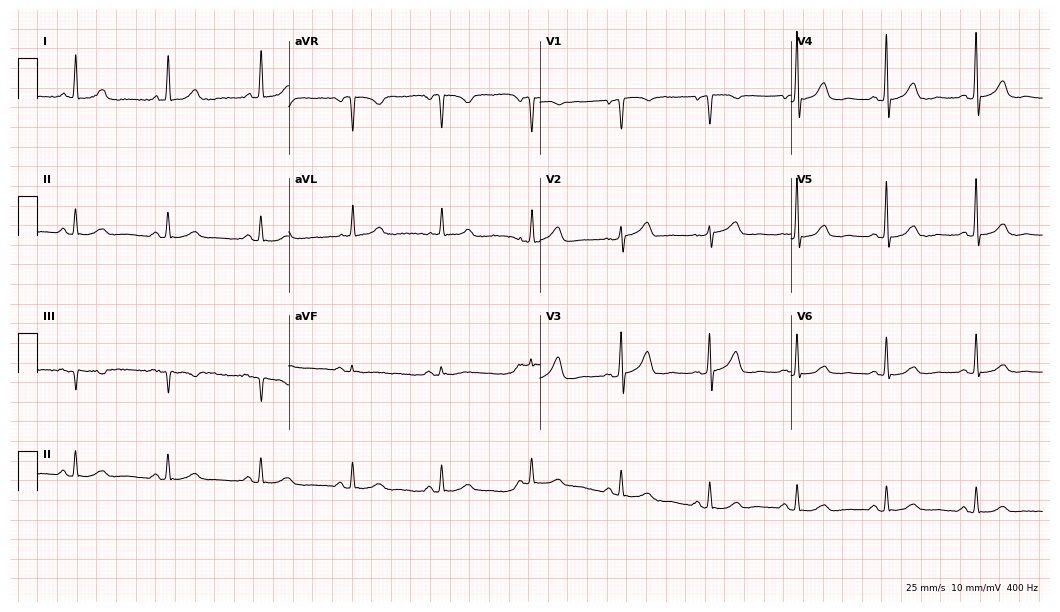
Standard 12-lead ECG recorded from a female, 78 years old. Read as a normal ECG.